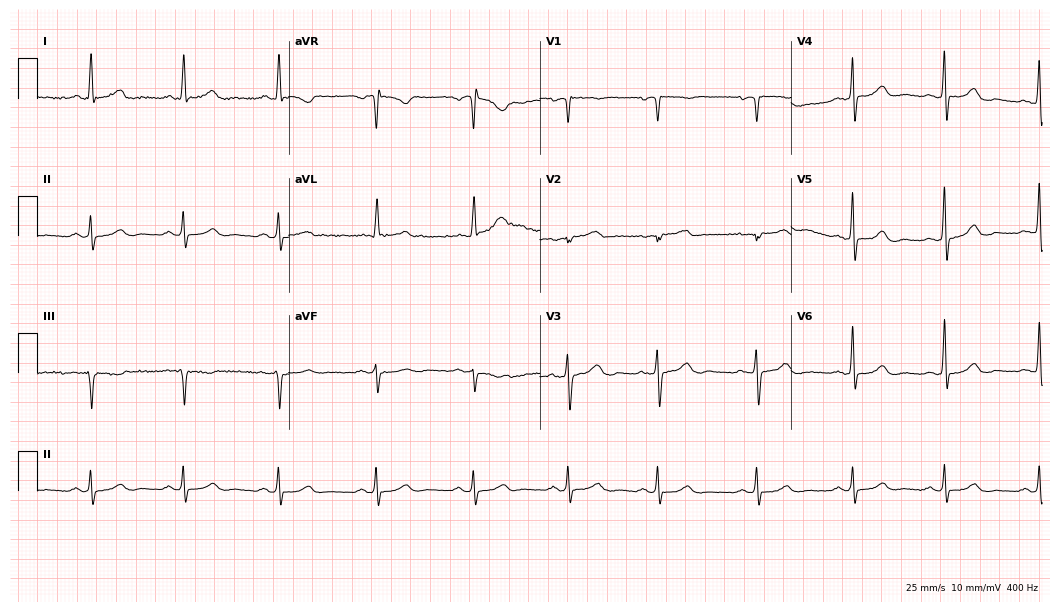
Resting 12-lead electrocardiogram. Patient: a 62-year-old female. Read as a normal ECG.